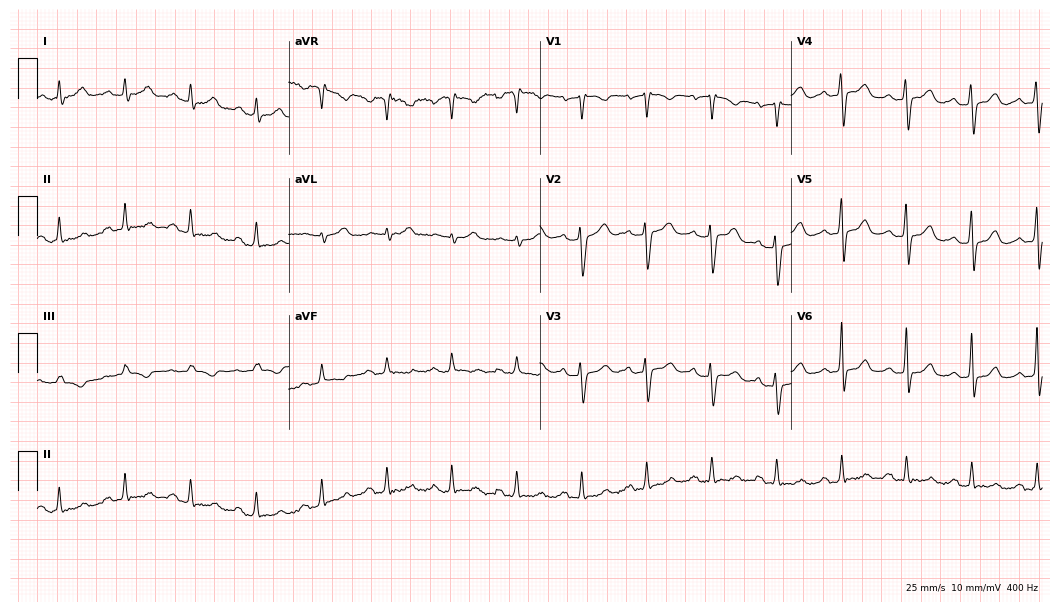
12-lead ECG from a female, 41 years old. Recorded interpretation: within normal limits.